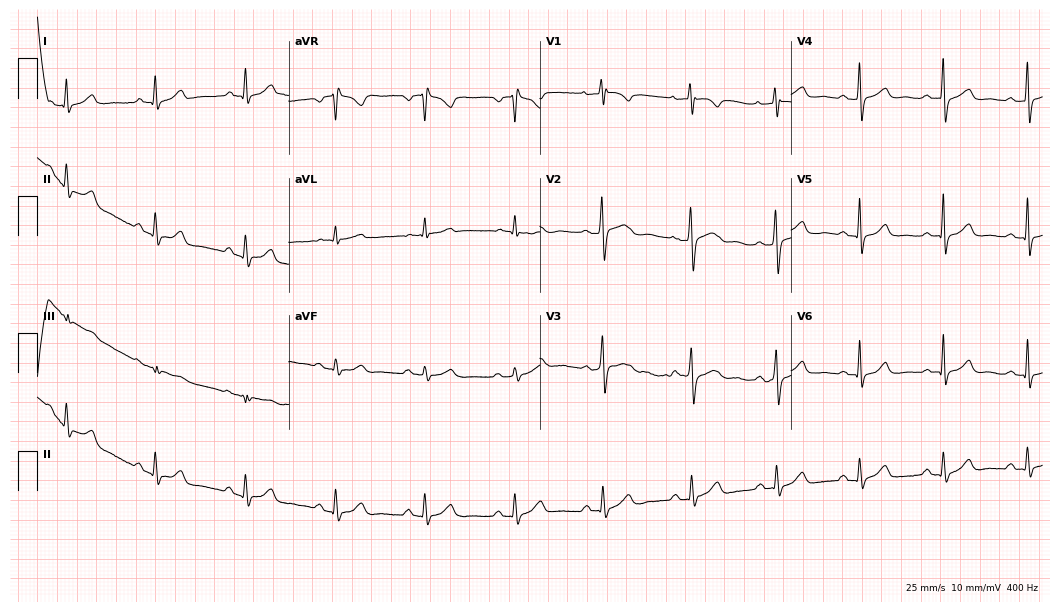
ECG — a female patient, 50 years old. Labelled as a normal ECG.